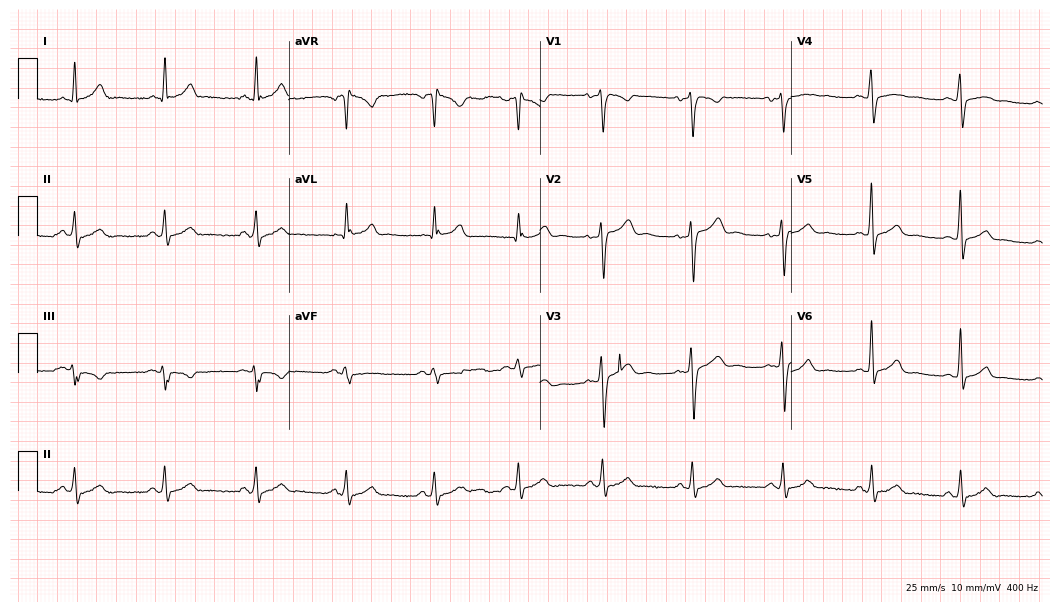
12-lead ECG from a 36-year-old male (10.2-second recording at 400 Hz). Recorded interpretation: within normal limits.